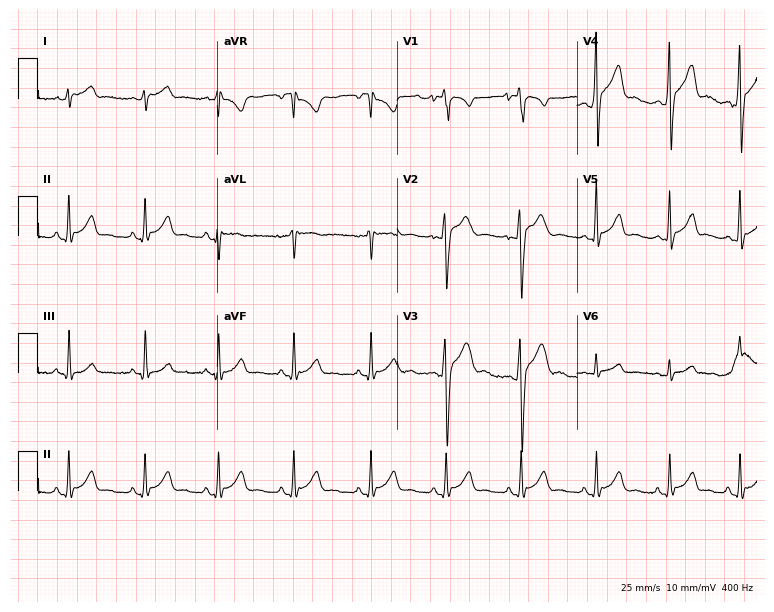
Resting 12-lead electrocardiogram (7.3-second recording at 400 Hz). Patient: a 22-year-old male. Read as a normal ECG.